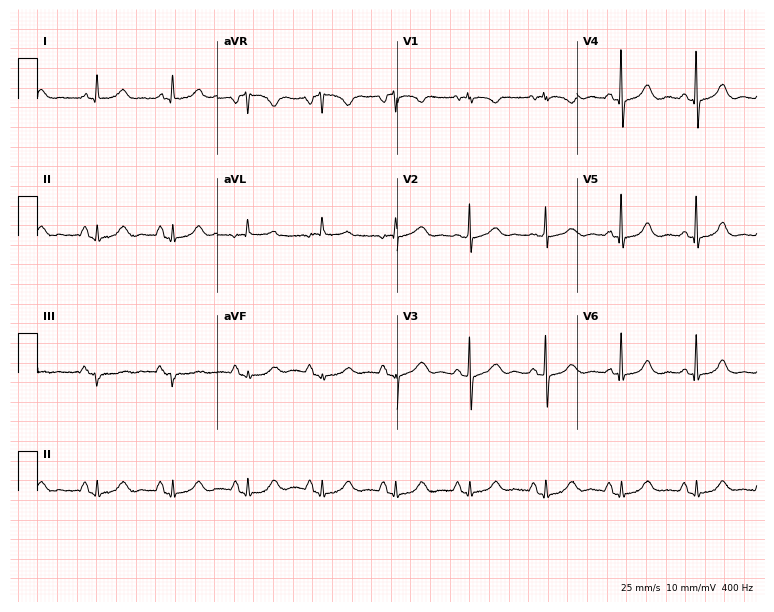
Electrocardiogram, a 67-year-old woman. Overall reading on record: normal ECG.